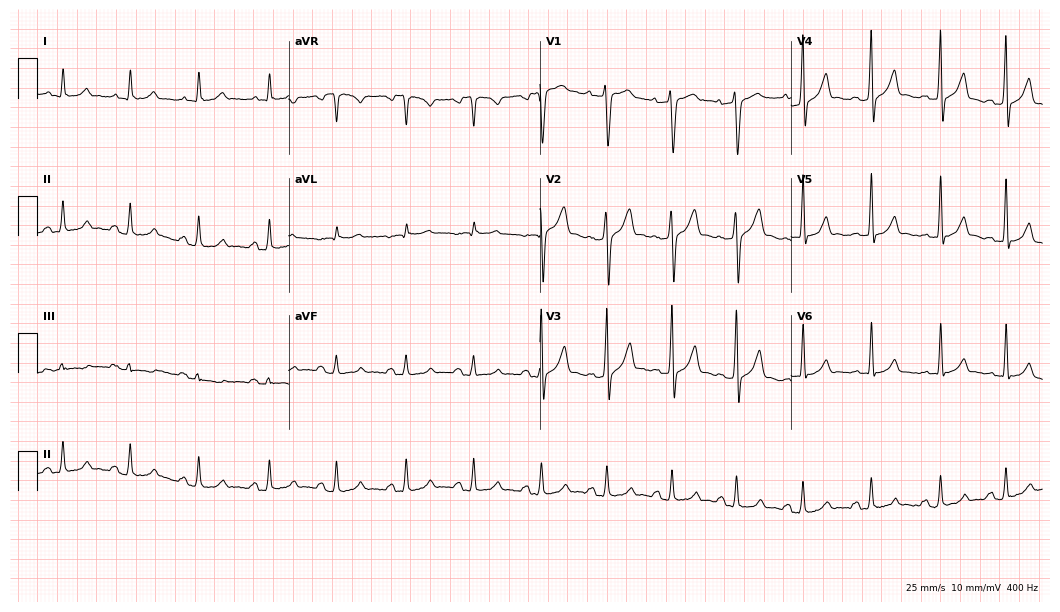
Standard 12-lead ECG recorded from a man, 40 years old. Read as a normal ECG.